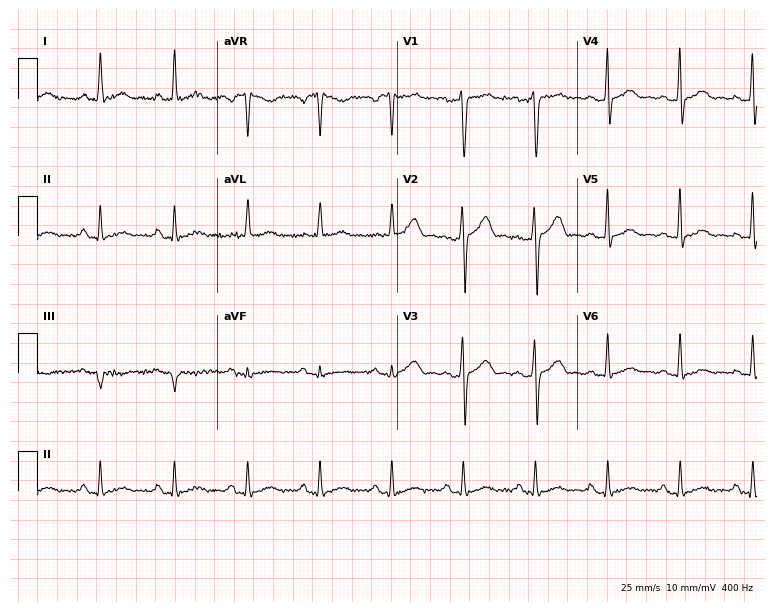
ECG (7.3-second recording at 400 Hz) — a 45-year-old male. Labelled as a normal ECG.